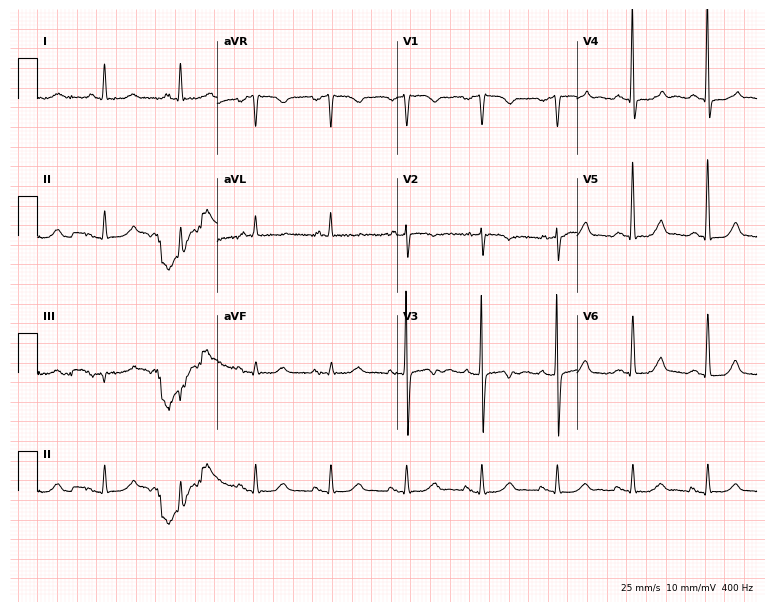
Electrocardiogram, a man, 80 years old. Overall reading on record: normal ECG.